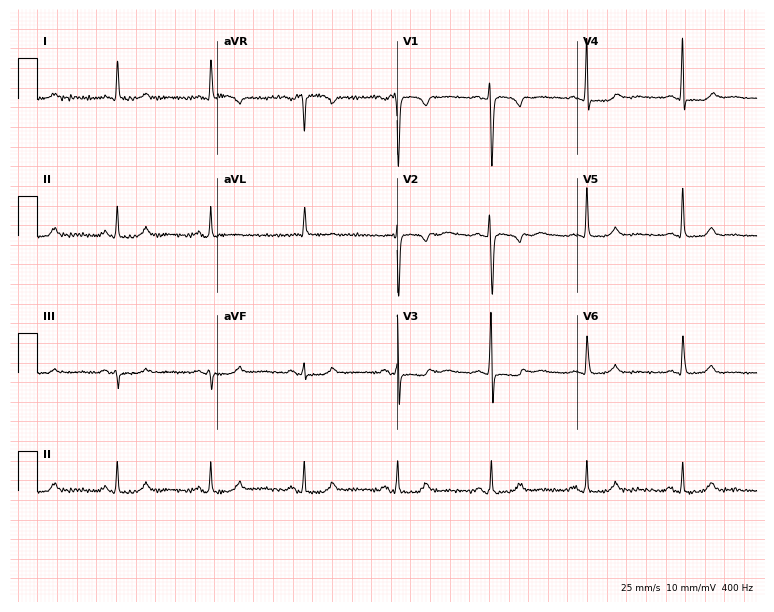
Resting 12-lead electrocardiogram. Patient: a female, 85 years old. None of these six findings is recorded: first-degree AV block, right bundle branch block (RBBB), left bundle branch block (LBBB), sinus bradycardia, atrial fibrillation (AF), sinus tachycardia. Findings outside these six are not listed.